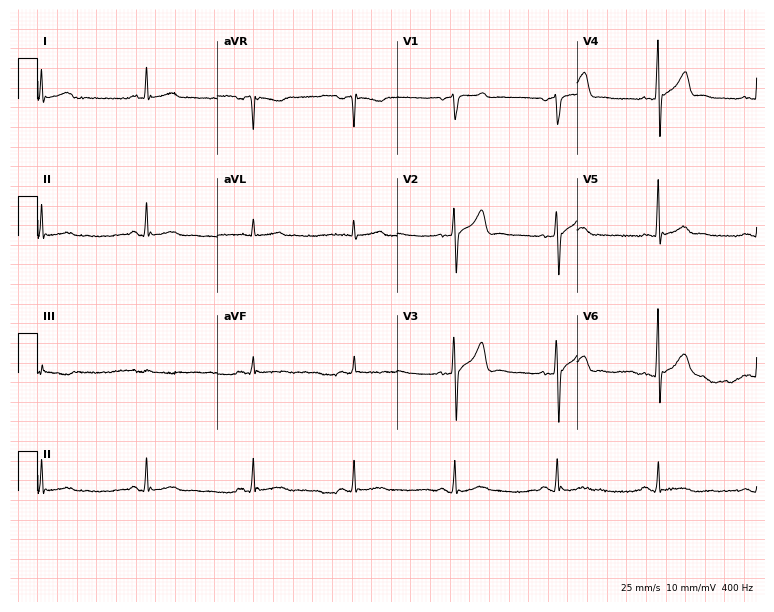
Standard 12-lead ECG recorded from a 52-year-old man. Read as a normal ECG.